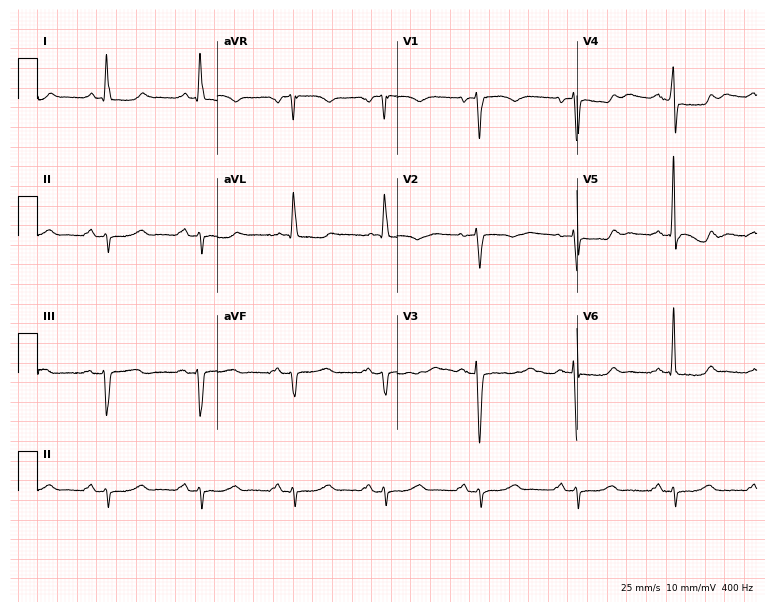
ECG — a female, 30 years old. Screened for six findings — first-degree AV block, right bundle branch block, left bundle branch block, sinus bradycardia, atrial fibrillation, sinus tachycardia — none is recorded.